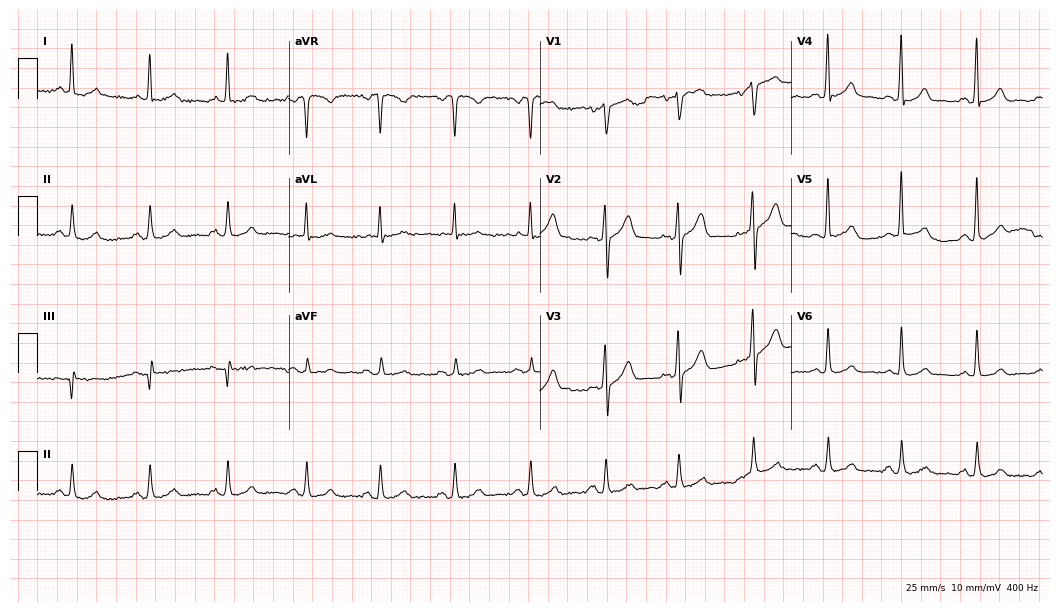
ECG — a man, 58 years old. Labelled as a normal ECG.